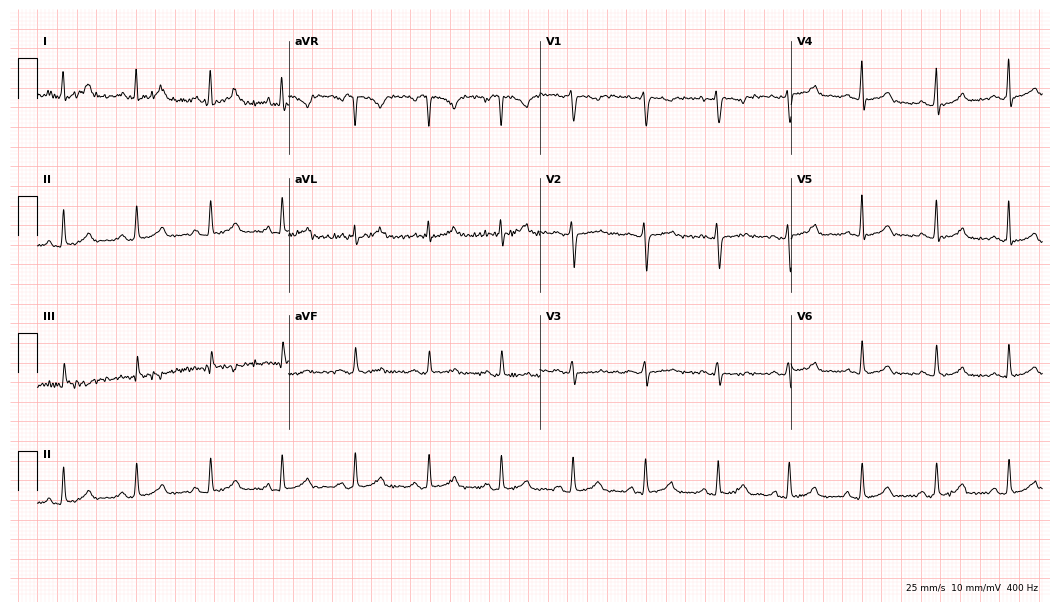
12-lead ECG from a 30-year-old male patient (10.2-second recording at 400 Hz). No first-degree AV block, right bundle branch block, left bundle branch block, sinus bradycardia, atrial fibrillation or sinus tachycardia recorded for this tracing.